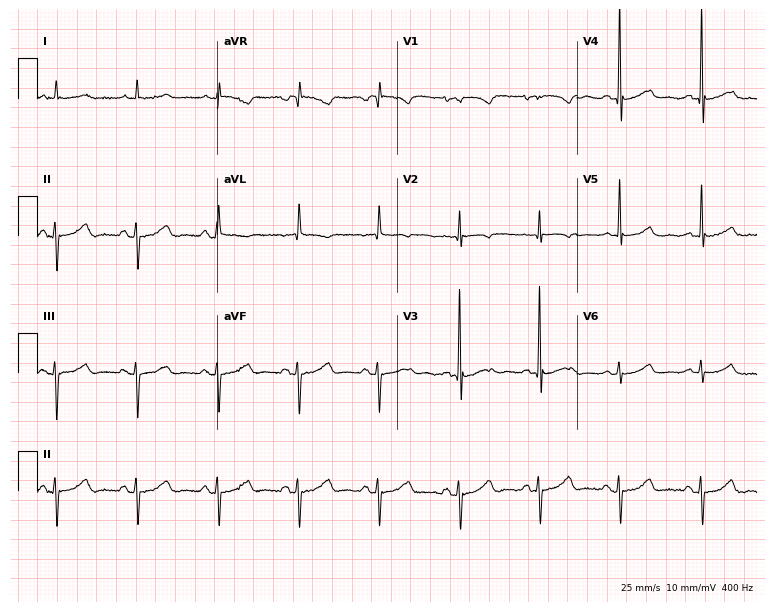
Electrocardiogram (7.3-second recording at 400 Hz), a female, 67 years old. Of the six screened findings (first-degree AV block, right bundle branch block, left bundle branch block, sinus bradycardia, atrial fibrillation, sinus tachycardia), none is recorded.